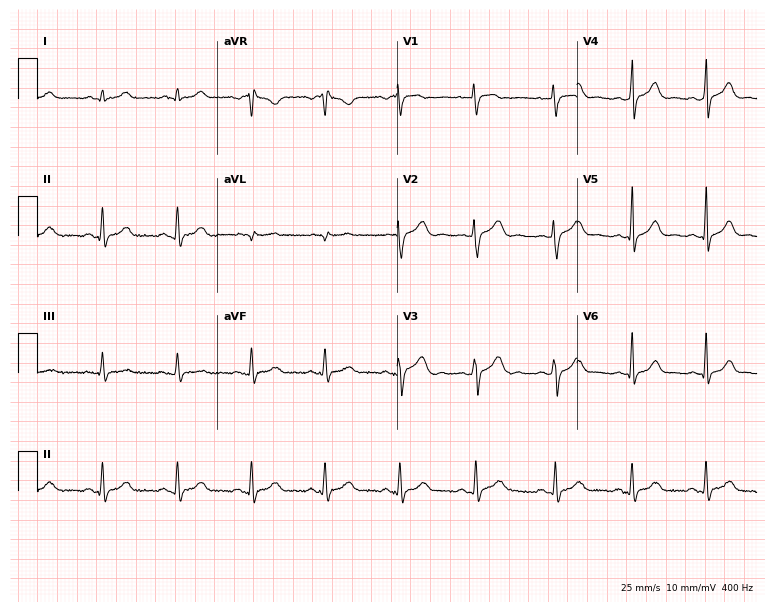
ECG — a female patient, 30 years old. Screened for six findings — first-degree AV block, right bundle branch block, left bundle branch block, sinus bradycardia, atrial fibrillation, sinus tachycardia — none is recorded. Findings outside these six are not listed.